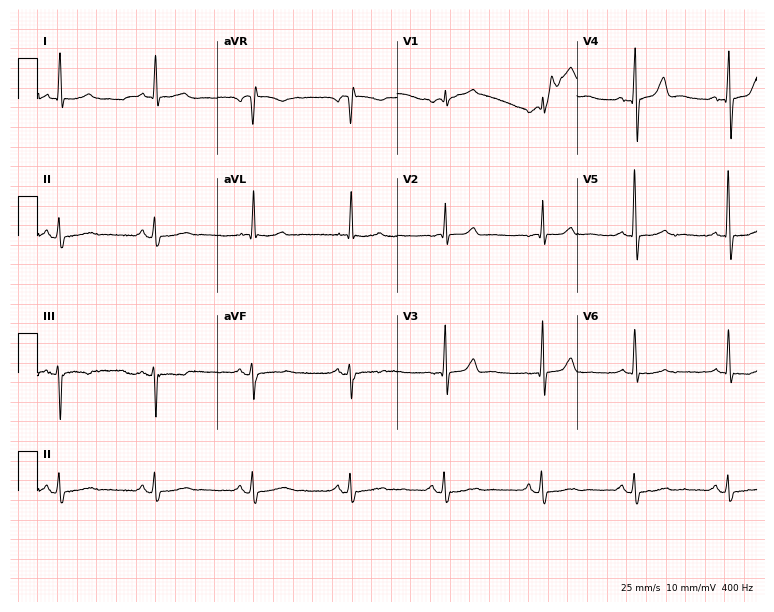
ECG — a female patient, 72 years old. Screened for six findings — first-degree AV block, right bundle branch block (RBBB), left bundle branch block (LBBB), sinus bradycardia, atrial fibrillation (AF), sinus tachycardia — none is recorded. Other findings, if any, are not listed.